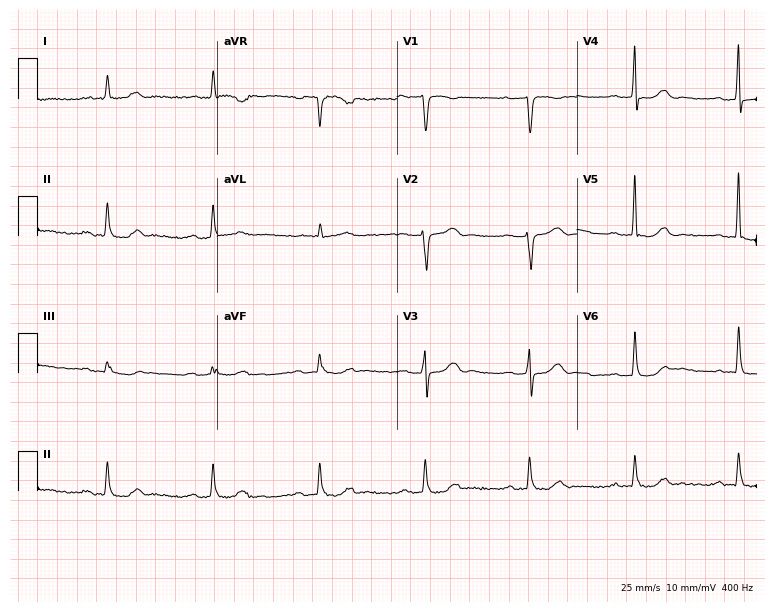
Resting 12-lead electrocardiogram (7.3-second recording at 400 Hz). Patient: a female, 74 years old. None of these six findings is recorded: first-degree AV block, right bundle branch block, left bundle branch block, sinus bradycardia, atrial fibrillation, sinus tachycardia. Findings outside these six are not listed.